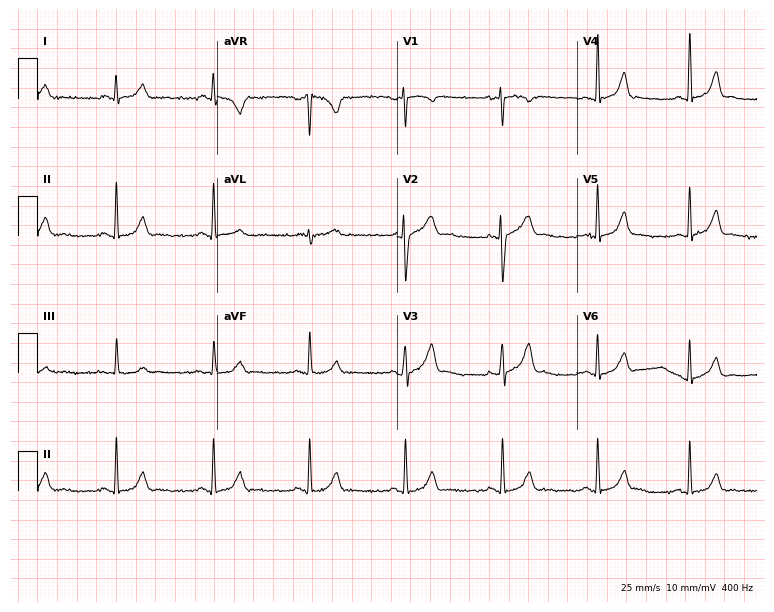
ECG — a female, 24 years old. Labelled as a normal ECG.